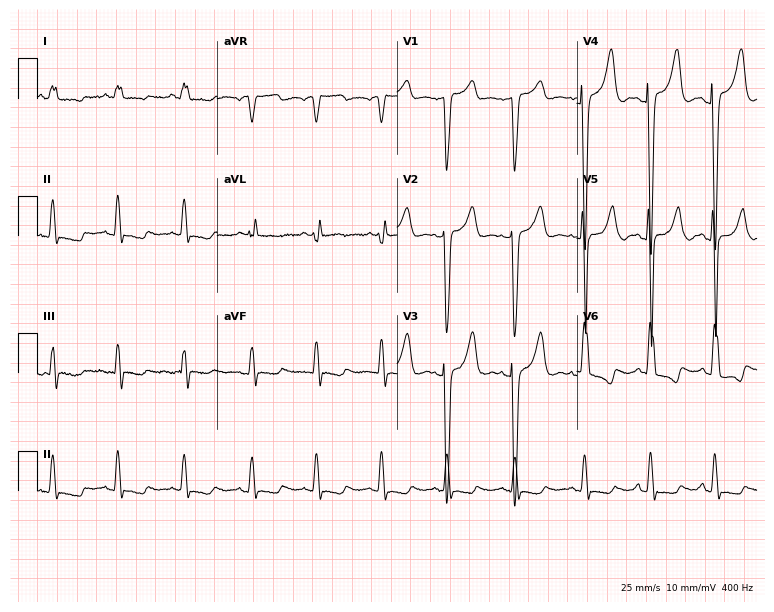
Standard 12-lead ECG recorded from a 75-year-old female patient (7.3-second recording at 400 Hz). None of these six findings is recorded: first-degree AV block, right bundle branch block, left bundle branch block, sinus bradycardia, atrial fibrillation, sinus tachycardia. Only these six findings were labelled.